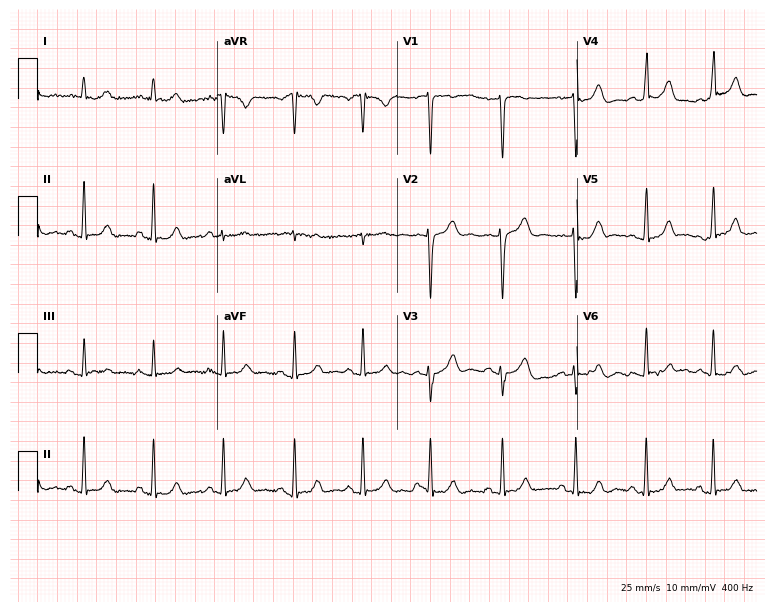
Standard 12-lead ECG recorded from a 22-year-old female. Read as a normal ECG.